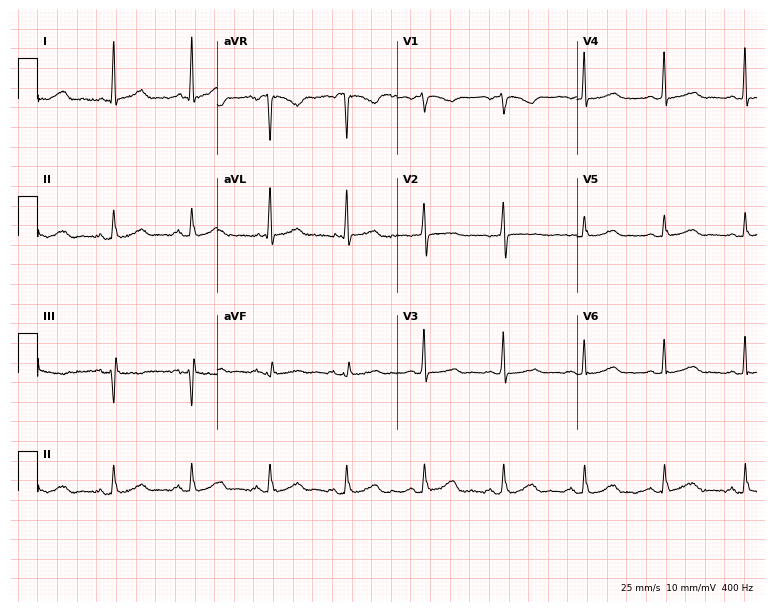
12-lead ECG from a female patient, 59 years old (7.3-second recording at 400 Hz). No first-degree AV block, right bundle branch block, left bundle branch block, sinus bradycardia, atrial fibrillation or sinus tachycardia recorded for this tracing. Other findings, if any, are not listed.